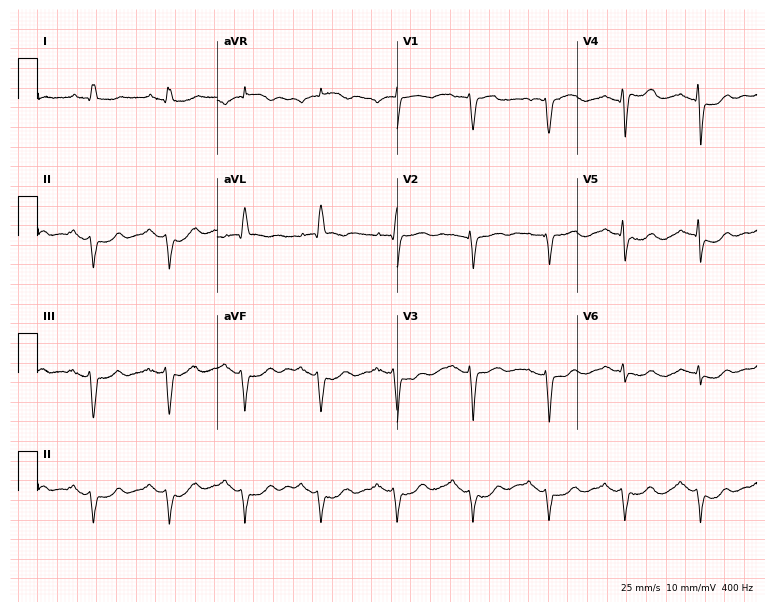
12-lead ECG from a woman, 85 years old (7.3-second recording at 400 Hz). No first-degree AV block, right bundle branch block (RBBB), left bundle branch block (LBBB), sinus bradycardia, atrial fibrillation (AF) or sinus tachycardia recorded for this tracing. Only these six findings were labelled.